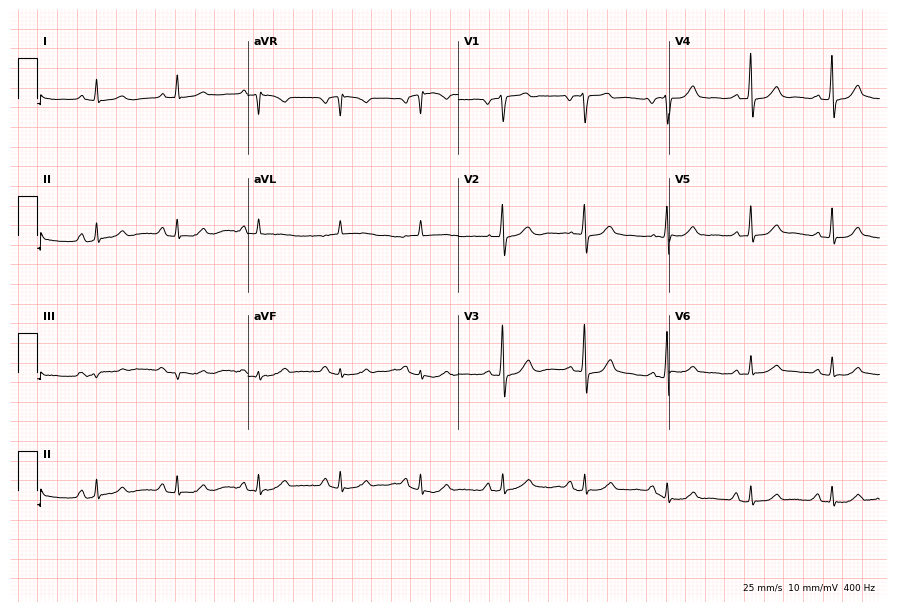
12-lead ECG from a 67-year-old male patient (8.6-second recording at 400 Hz). Recorded interpretation: within normal limits.